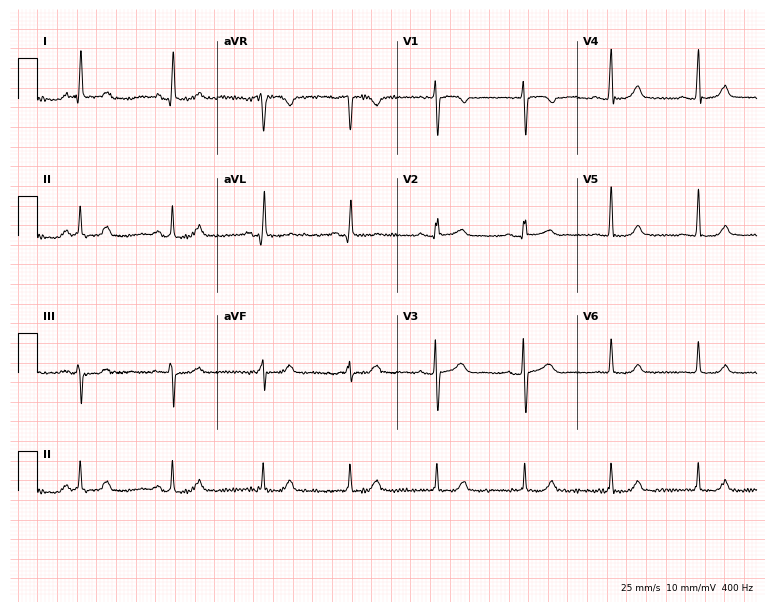
Standard 12-lead ECG recorded from a female patient, 72 years old (7.3-second recording at 400 Hz). Read as a normal ECG.